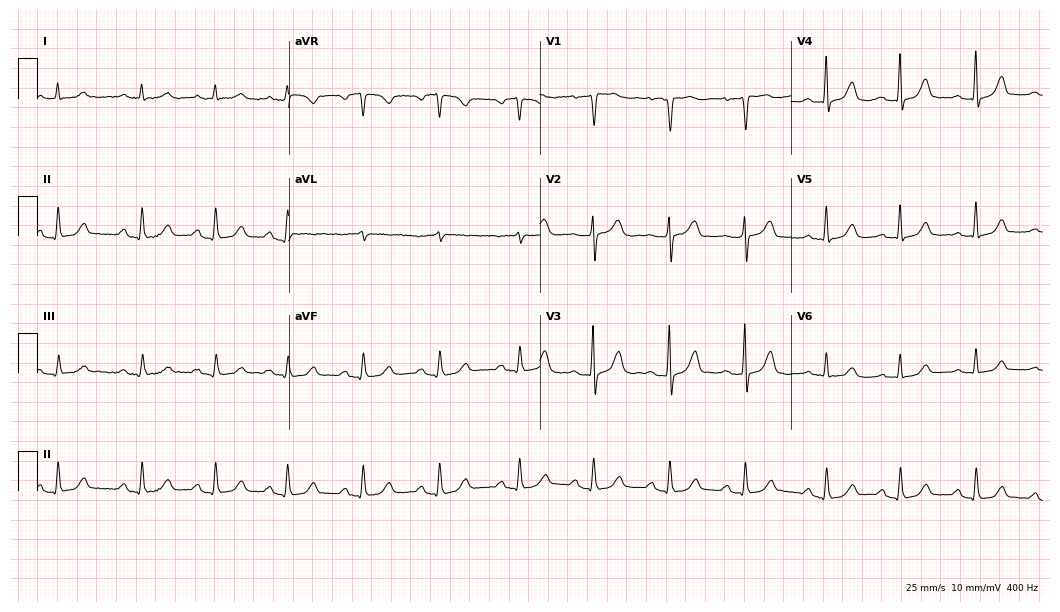
12-lead ECG from a 65-year-old female. Recorded interpretation: within normal limits.